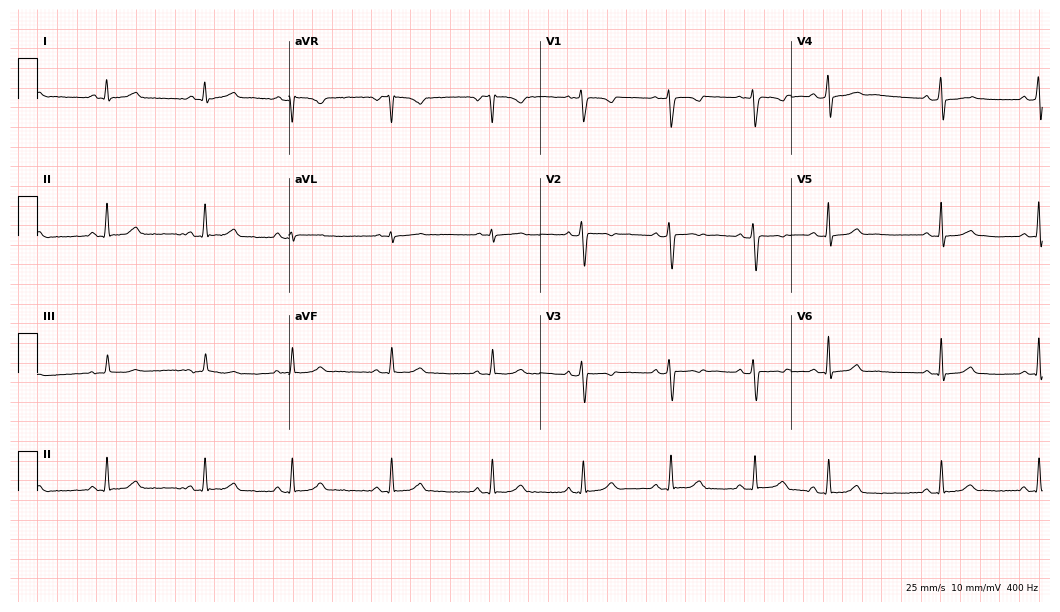
Standard 12-lead ECG recorded from a 24-year-old female (10.2-second recording at 400 Hz). None of these six findings is recorded: first-degree AV block, right bundle branch block (RBBB), left bundle branch block (LBBB), sinus bradycardia, atrial fibrillation (AF), sinus tachycardia. Only these six findings were labelled.